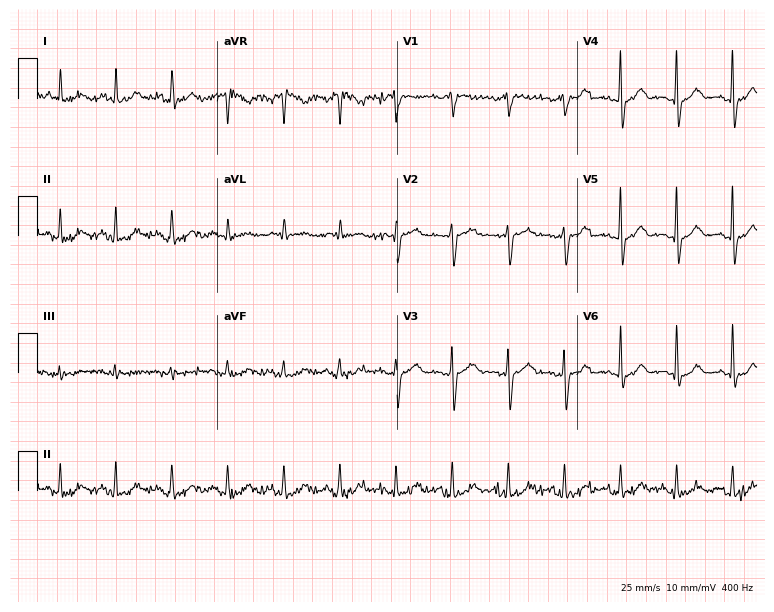
Standard 12-lead ECG recorded from a 69-year-old man. The tracing shows sinus tachycardia (a sinus rate of 100 beats per minute or more).